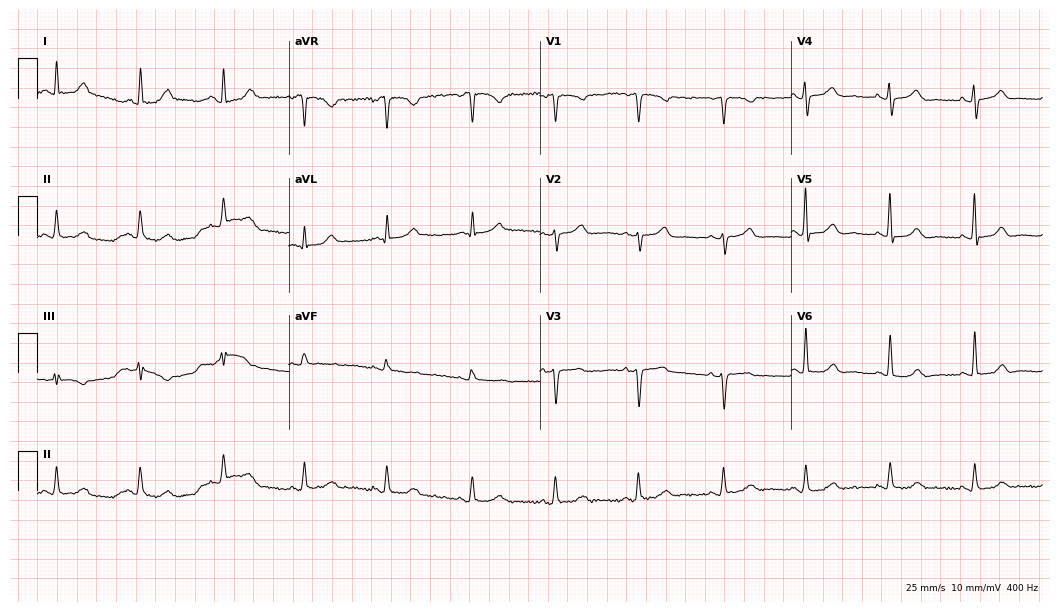
ECG — a 45-year-old woman. Screened for six findings — first-degree AV block, right bundle branch block, left bundle branch block, sinus bradycardia, atrial fibrillation, sinus tachycardia — none is recorded. Findings outside these six are not listed.